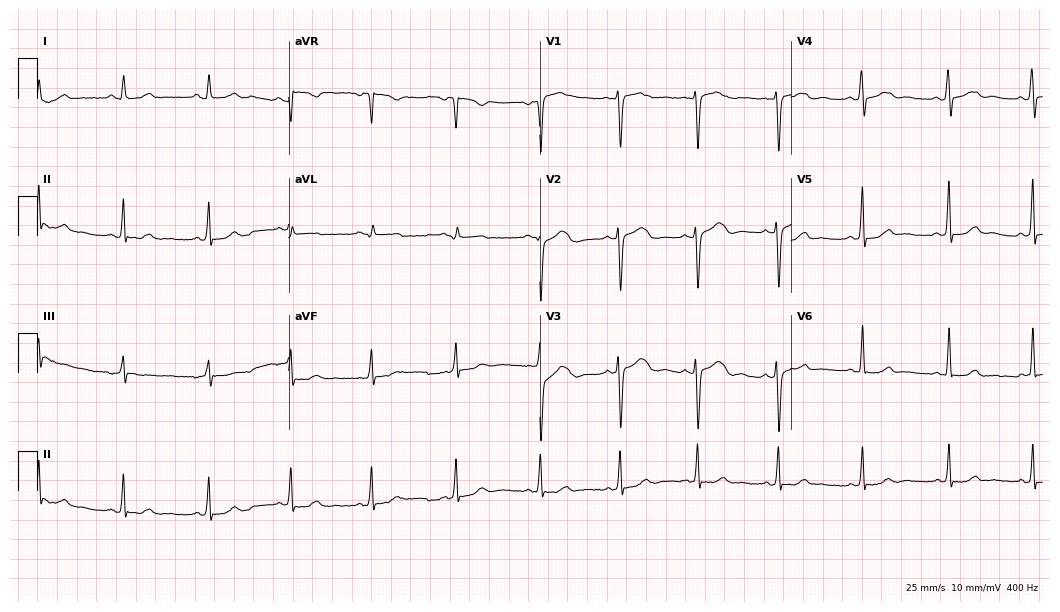
Standard 12-lead ECG recorded from a female, 37 years old. Read as a normal ECG.